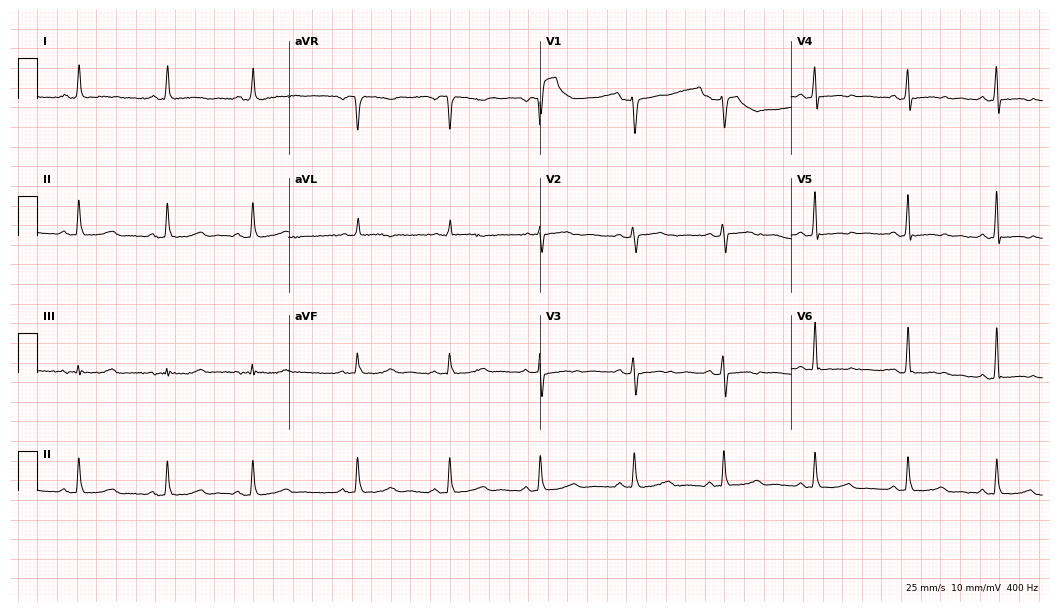
Electrocardiogram, a 54-year-old woman. Of the six screened findings (first-degree AV block, right bundle branch block, left bundle branch block, sinus bradycardia, atrial fibrillation, sinus tachycardia), none is recorded.